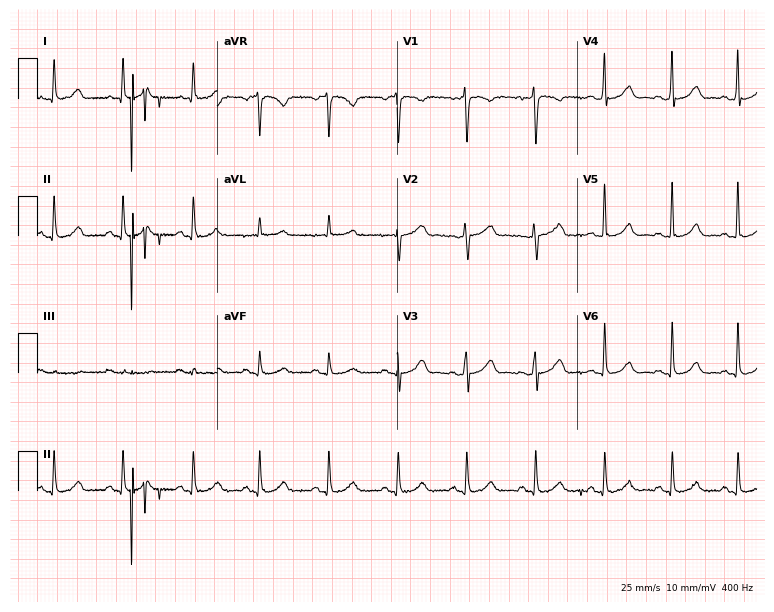
Standard 12-lead ECG recorded from a female patient, 36 years old. Read as a normal ECG.